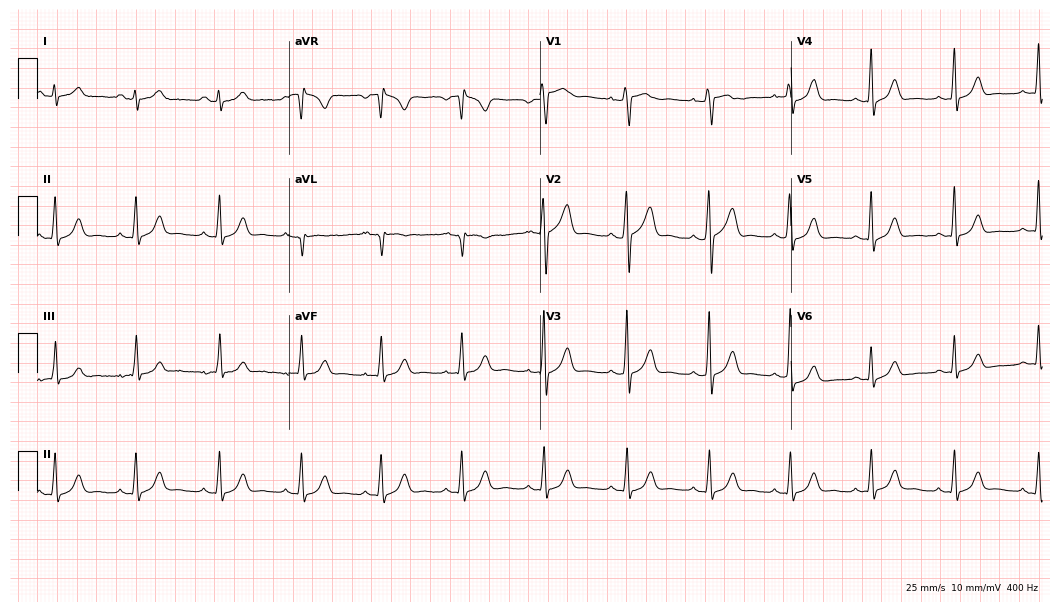
Electrocardiogram, a 37-year-old male patient. Of the six screened findings (first-degree AV block, right bundle branch block, left bundle branch block, sinus bradycardia, atrial fibrillation, sinus tachycardia), none is recorded. Other findings, if any, are not listed.